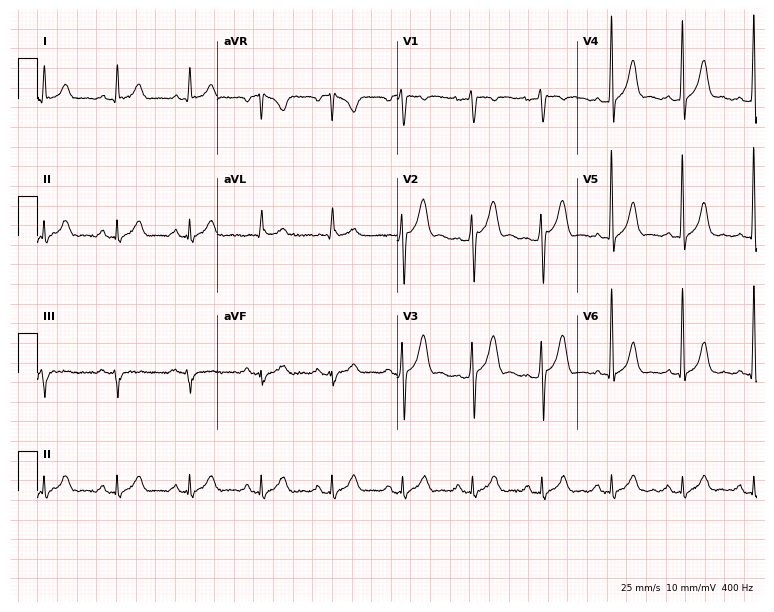
Standard 12-lead ECG recorded from a male, 34 years old. Read as a normal ECG.